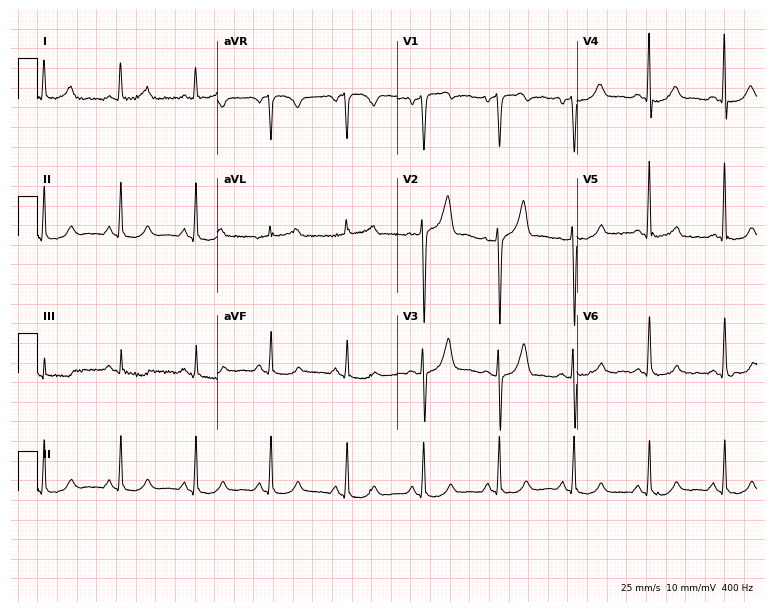
12-lead ECG (7.3-second recording at 400 Hz) from a man, 57 years old. Labelled as a normal ECG.